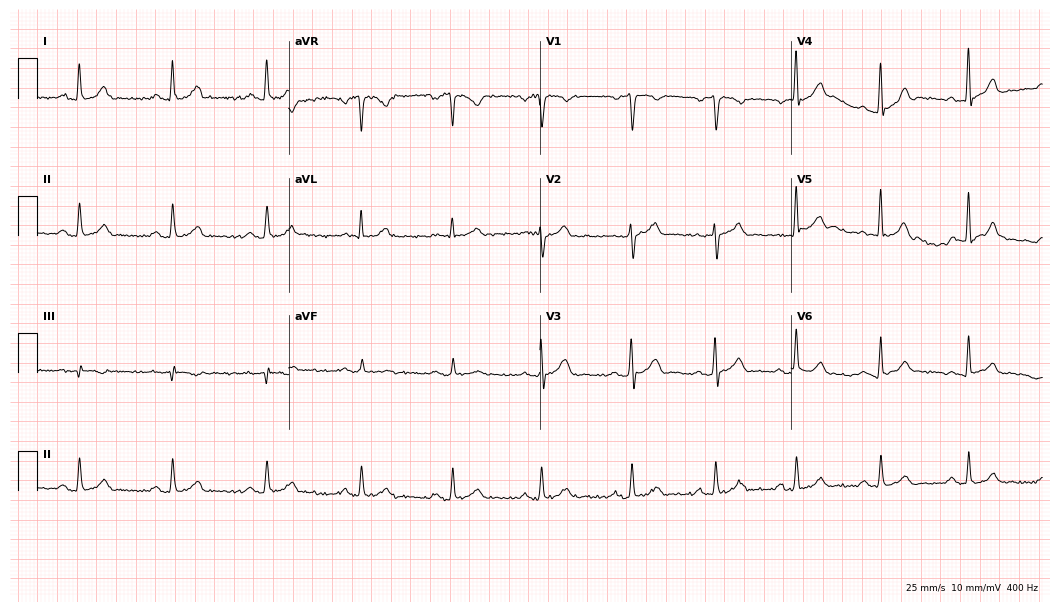
ECG (10.2-second recording at 400 Hz) — a 36-year-old male patient. Labelled as a normal ECG.